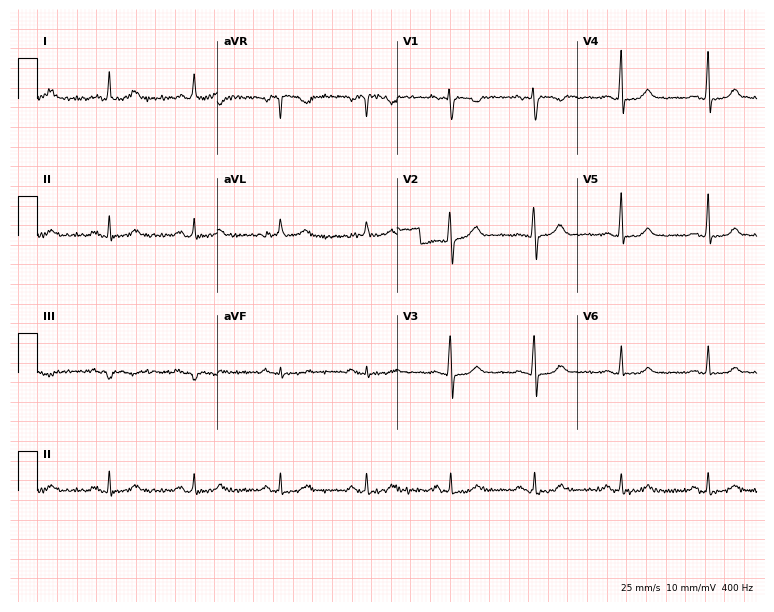
Standard 12-lead ECG recorded from a female patient, 58 years old. Read as a normal ECG.